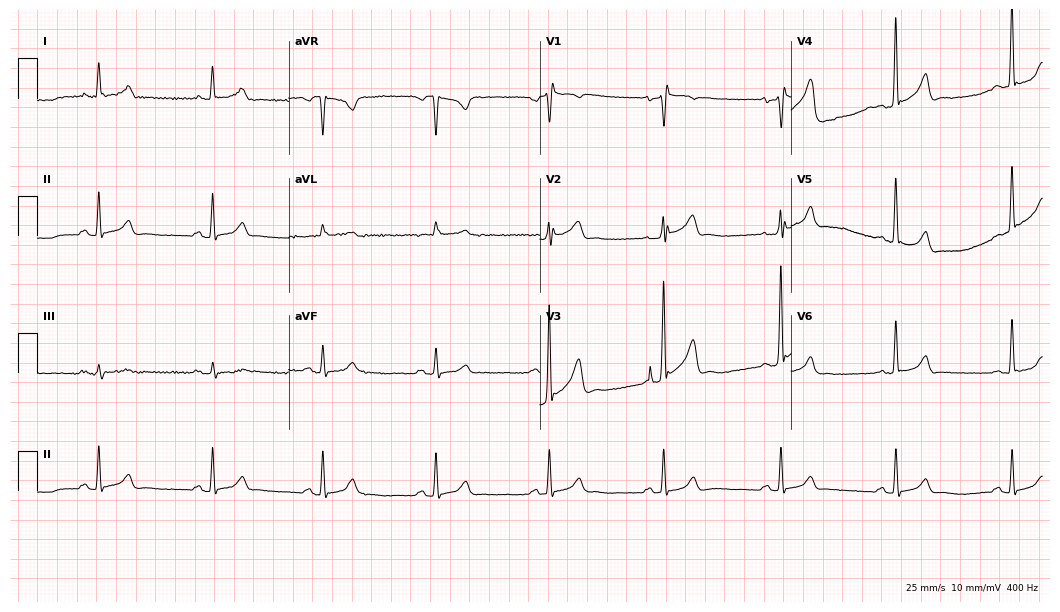
Resting 12-lead electrocardiogram (10.2-second recording at 400 Hz). Patient: a man, 54 years old. None of these six findings is recorded: first-degree AV block, right bundle branch block, left bundle branch block, sinus bradycardia, atrial fibrillation, sinus tachycardia. Only these six findings were labelled.